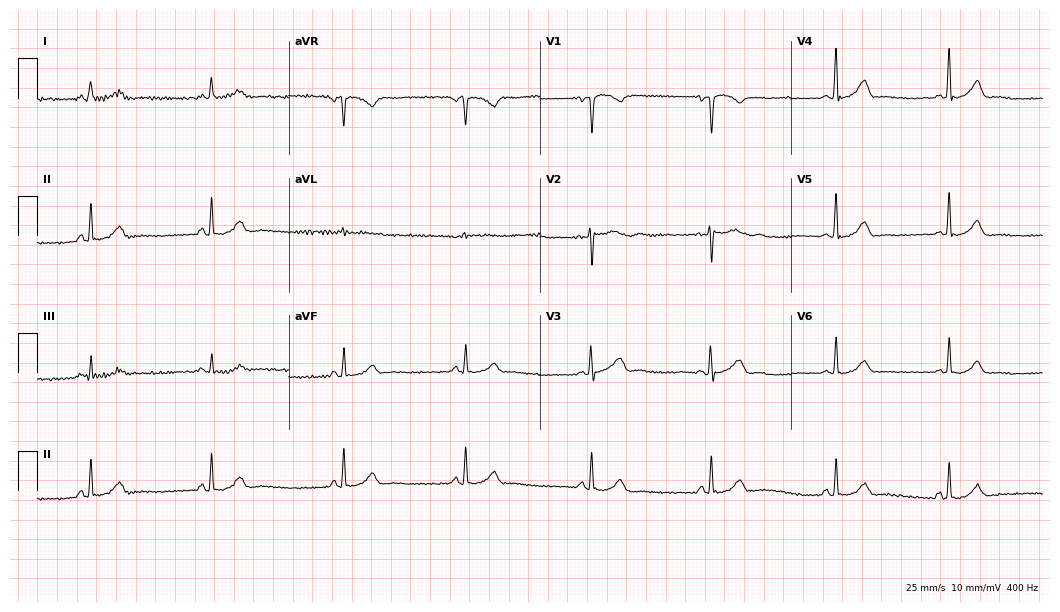
Resting 12-lead electrocardiogram. Patient: a 31-year-old female. The tracing shows sinus bradycardia (a sinus rate of 50 beats per minute or less).